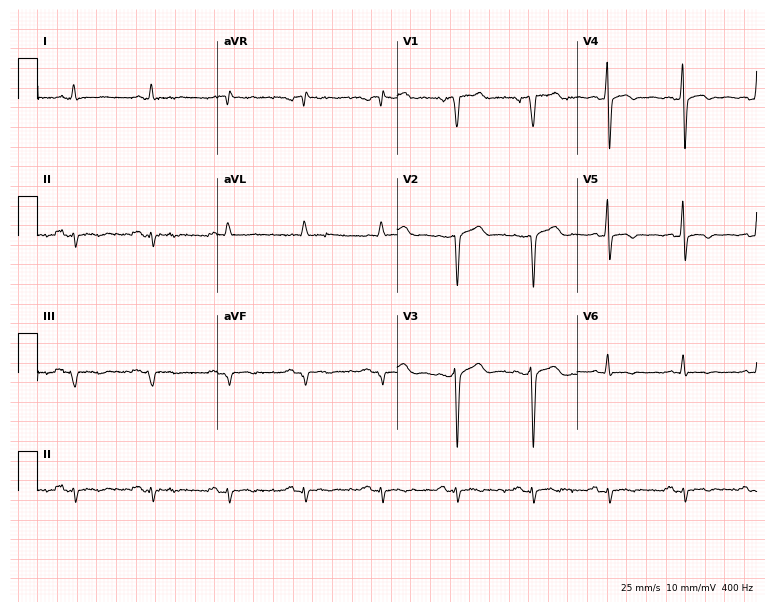
Resting 12-lead electrocardiogram. Patient: a man, 60 years old. None of these six findings is recorded: first-degree AV block, right bundle branch block (RBBB), left bundle branch block (LBBB), sinus bradycardia, atrial fibrillation (AF), sinus tachycardia. Findings outside these six are not listed.